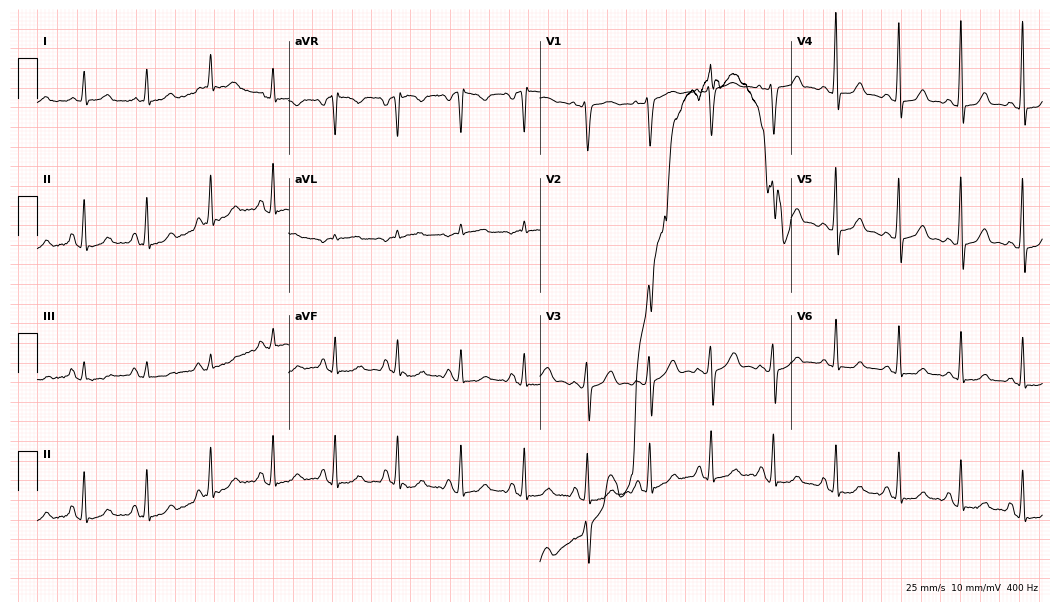
Standard 12-lead ECG recorded from a 45-year-old female. Read as a normal ECG.